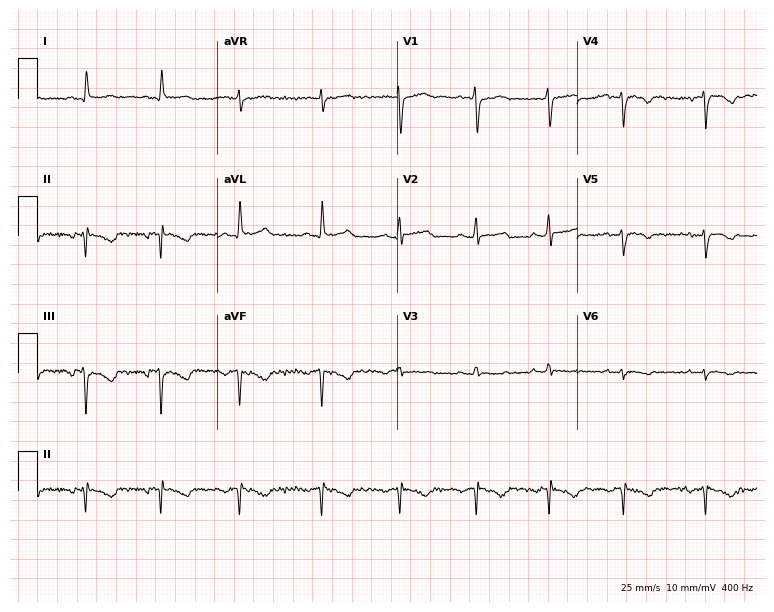
12-lead ECG from a 29-year-old female (7.3-second recording at 400 Hz). No first-degree AV block, right bundle branch block, left bundle branch block, sinus bradycardia, atrial fibrillation or sinus tachycardia recorded for this tracing. Other findings, if any, are not listed.